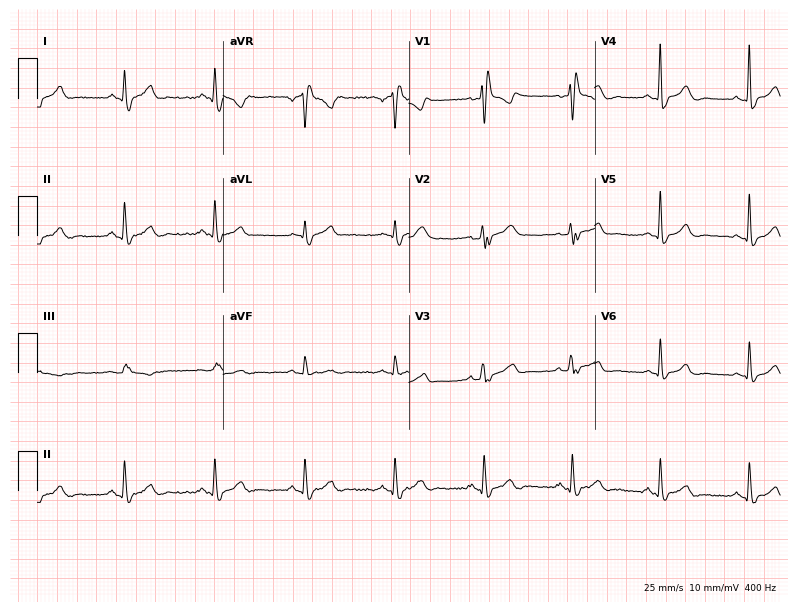
ECG (7.6-second recording at 400 Hz) — a man, 56 years old. Screened for six findings — first-degree AV block, right bundle branch block, left bundle branch block, sinus bradycardia, atrial fibrillation, sinus tachycardia — none is recorded. Only these six findings were labelled.